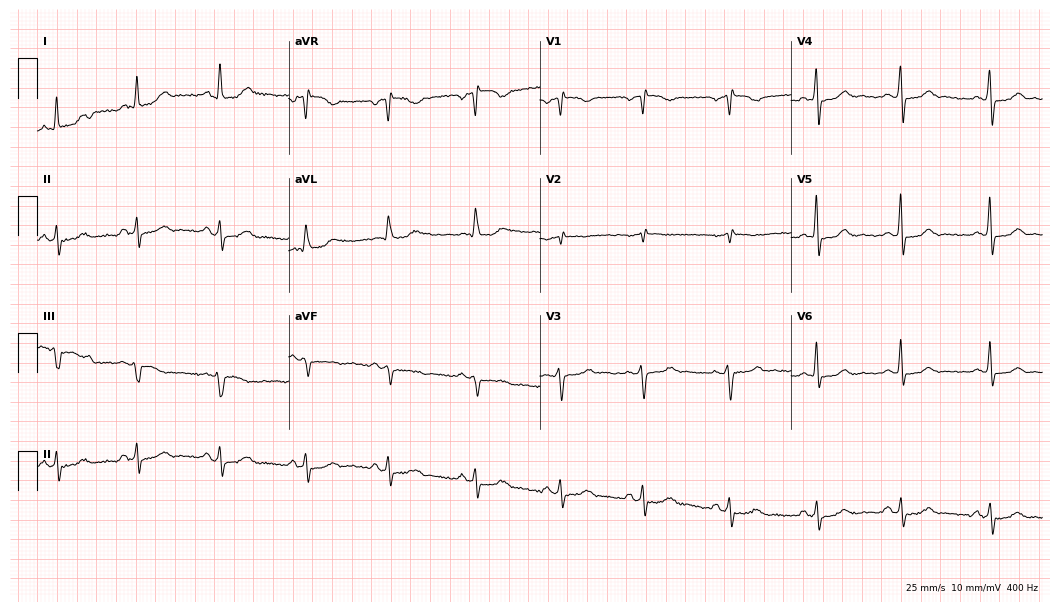
12-lead ECG from a 41-year-old woman (10.2-second recording at 400 Hz). No first-degree AV block, right bundle branch block (RBBB), left bundle branch block (LBBB), sinus bradycardia, atrial fibrillation (AF) or sinus tachycardia recorded for this tracing.